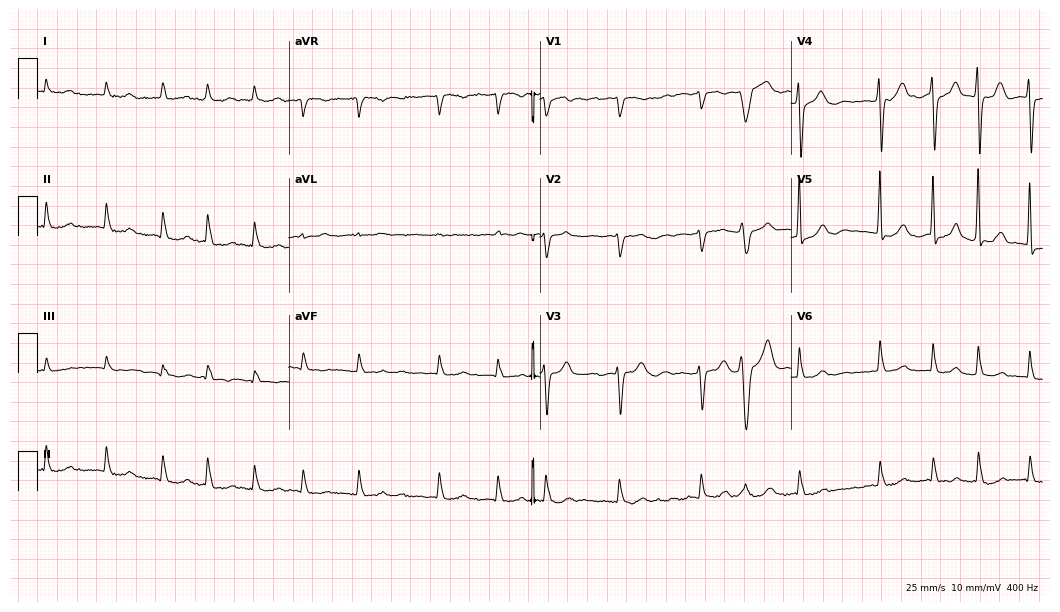
Standard 12-lead ECG recorded from an 83-year-old woman. The tracing shows atrial fibrillation (AF).